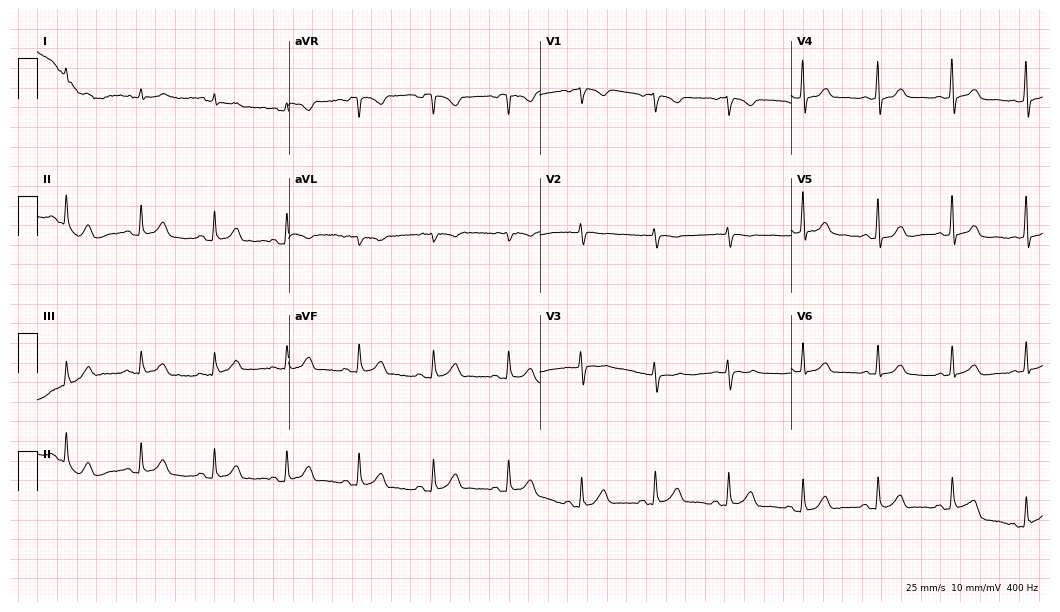
Standard 12-lead ECG recorded from a male patient, 38 years old. None of these six findings is recorded: first-degree AV block, right bundle branch block (RBBB), left bundle branch block (LBBB), sinus bradycardia, atrial fibrillation (AF), sinus tachycardia. Other findings, if any, are not listed.